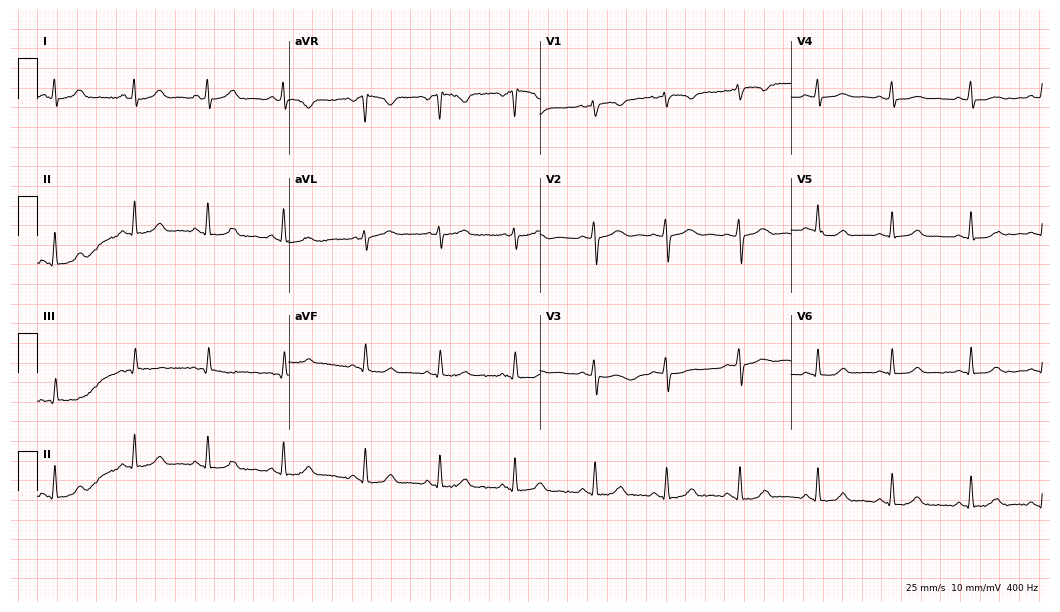
Electrocardiogram (10.2-second recording at 400 Hz), a 25-year-old woman. Overall reading on record: normal ECG.